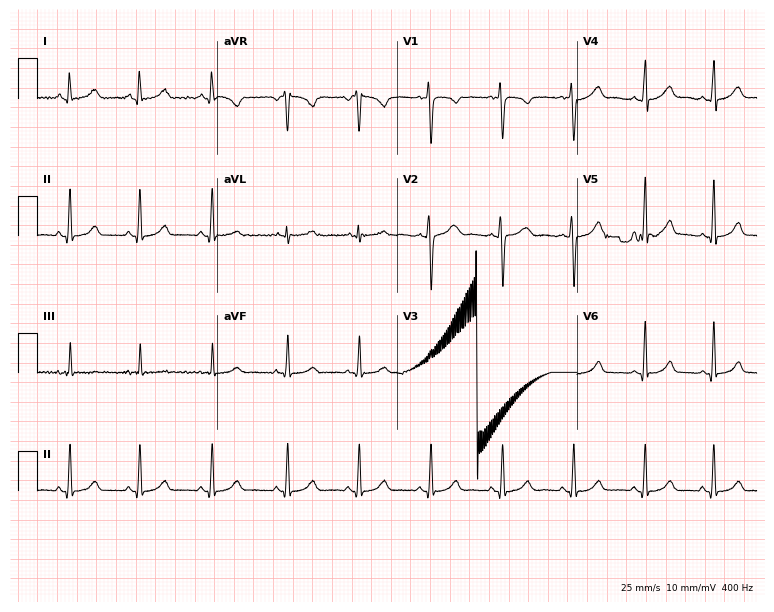
12-lead ECG (7.3-second recording at 400 Hz) from a 22-year-old female. Labelled as a normal ECG.